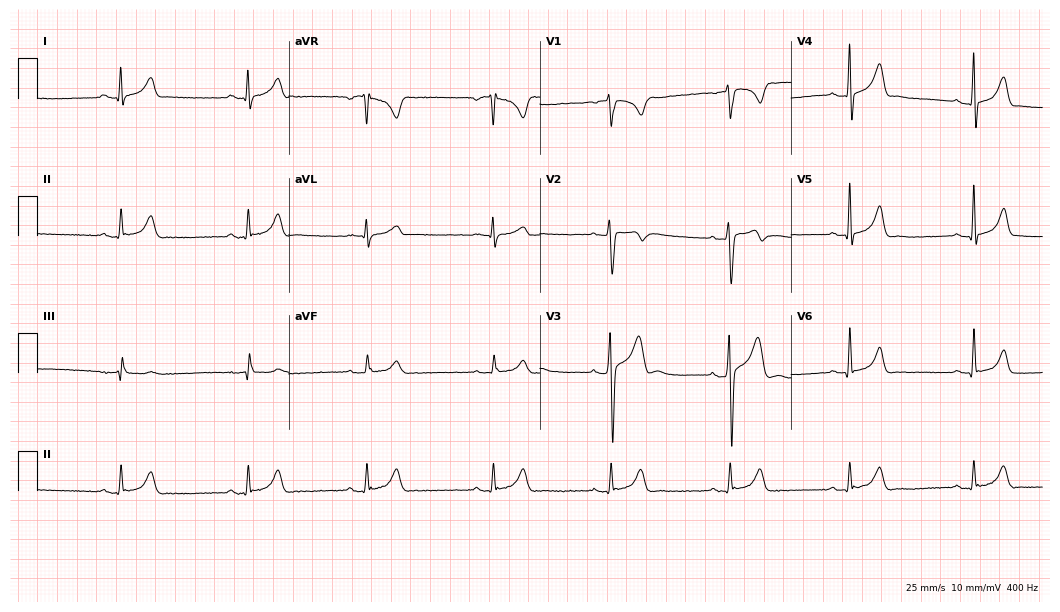
Electrocardiogram, a man, 26 years old. Of the six screened findings (first-degree AV block, right bundle branch block, left bundle branch block, sinus bradycardia, atrial fibrillation, sinus tachycardia), none is recorded.